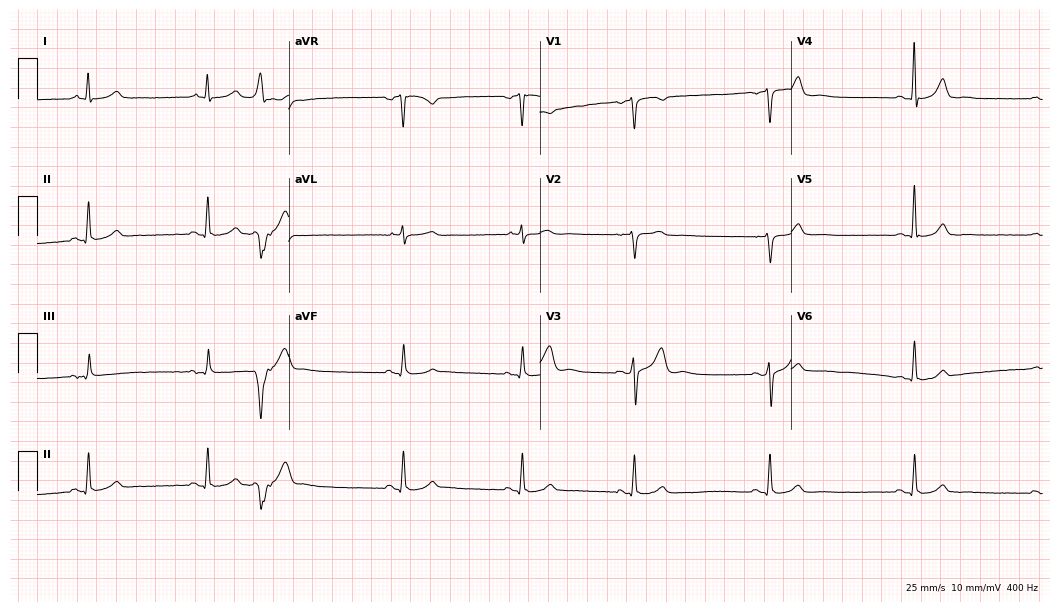
Electrocardiogram, a 53-year-old male patient. Of the six screened findings (first-degree AV block, right bundle branch block, left bundle branch block, sinus bradycardia, atrial fibrillation, sinus tachycardia), none is recorded. Findings outside these six are not listed.